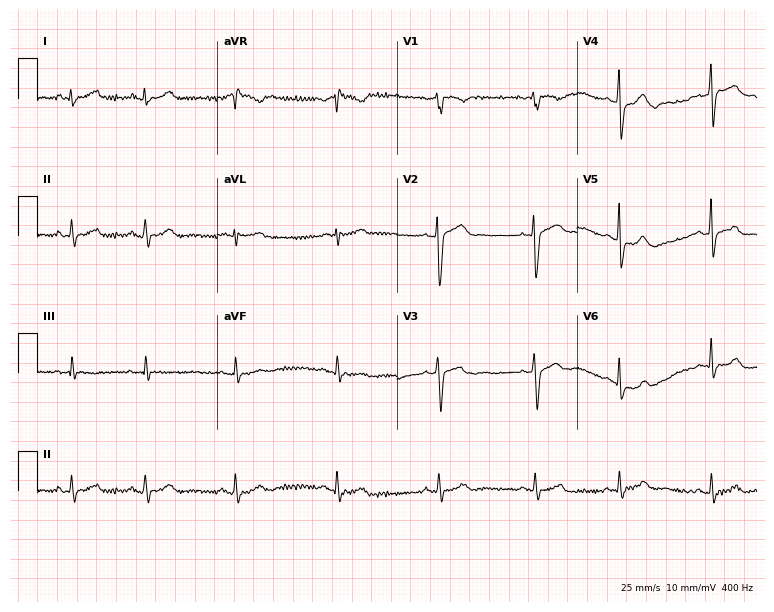
12-lead ECG from a female, 27 years old. Labelled as a normal ECG.